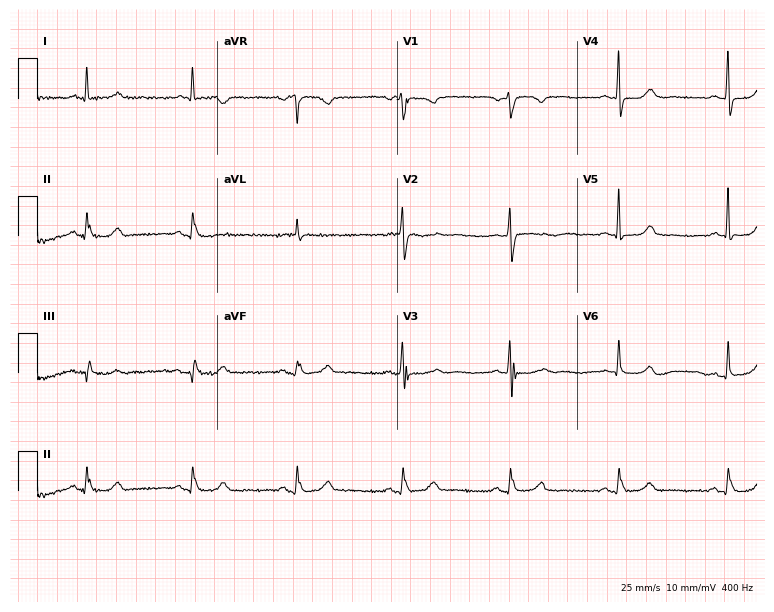
12-lead ECG from a woman, 68 years old. No first-degree AV block, right bundle branch block (RBBB), left bundle branch block (LBBB), sinus bradycardia, atrial fibrillation (AF) or sinus tachycardia recorded for this tracing.